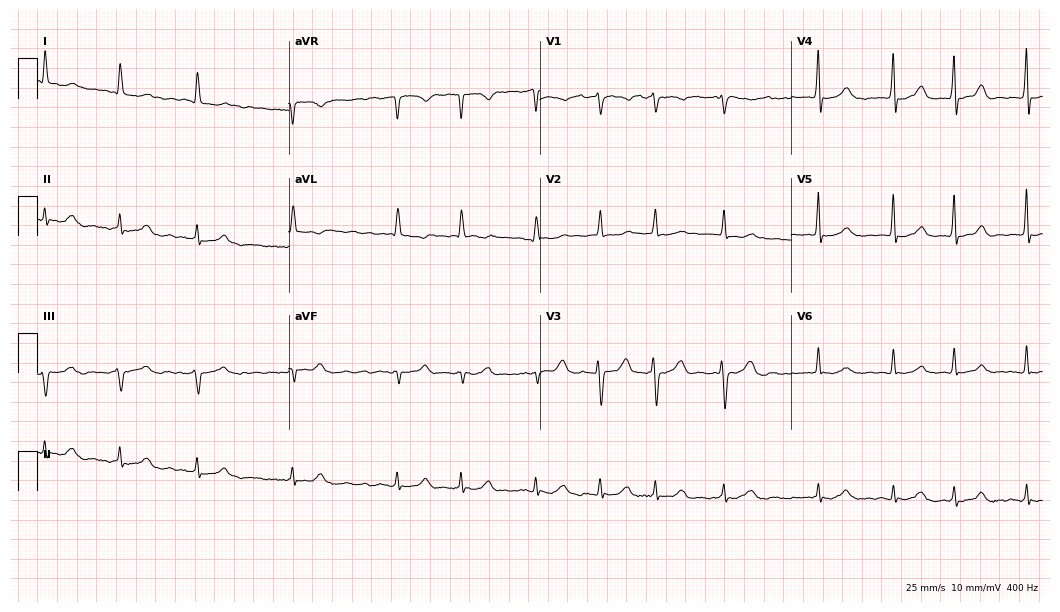
12-lead ECG from a female, 77 years old. Shows atrial fibrillation.